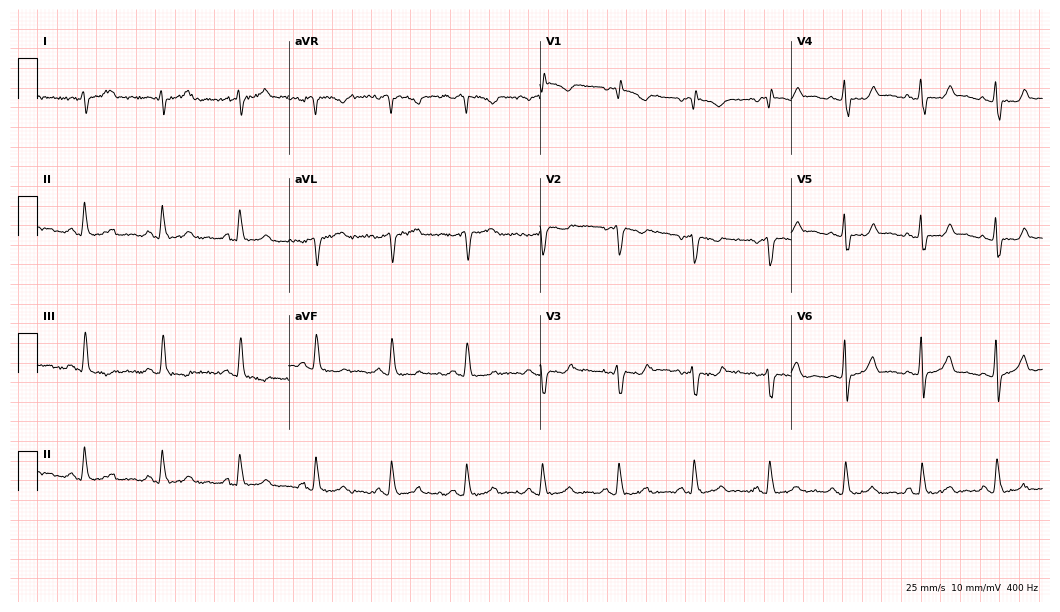
Standard 12-lead ECG recorded from a female, 47 years old (10.2-second recording at 400 Hz). None of these six findings is recorded: first-degree AV block, right bundle branch block (RBBB), left bundle branch block (LBBB), sinus bradycardia, atrial fibrillation (AF), sinus tachycardia.